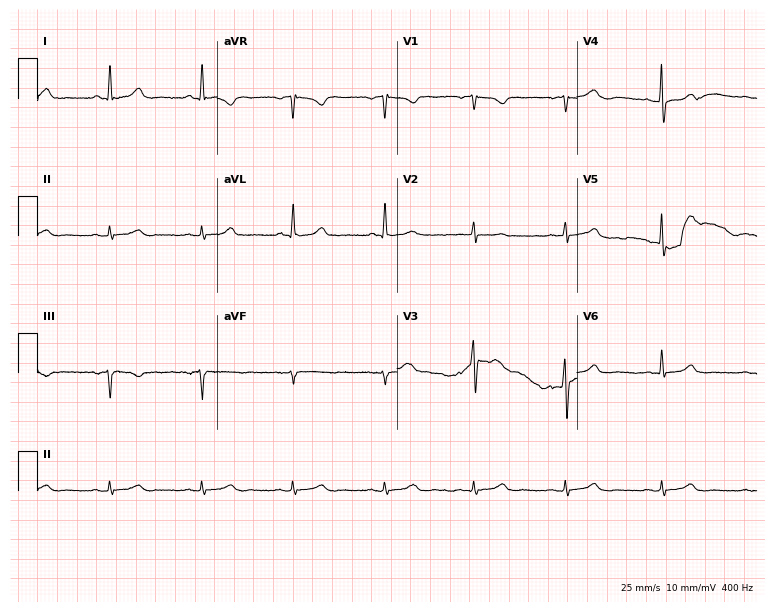
12-lead ECG from a woman, 64 years old. Screened for six findings — first-degree AV block, right bundle branch block, left bundle branch block, sinus bradycardia, atrial fibrillation, sinus tachycardia — none is recorded.